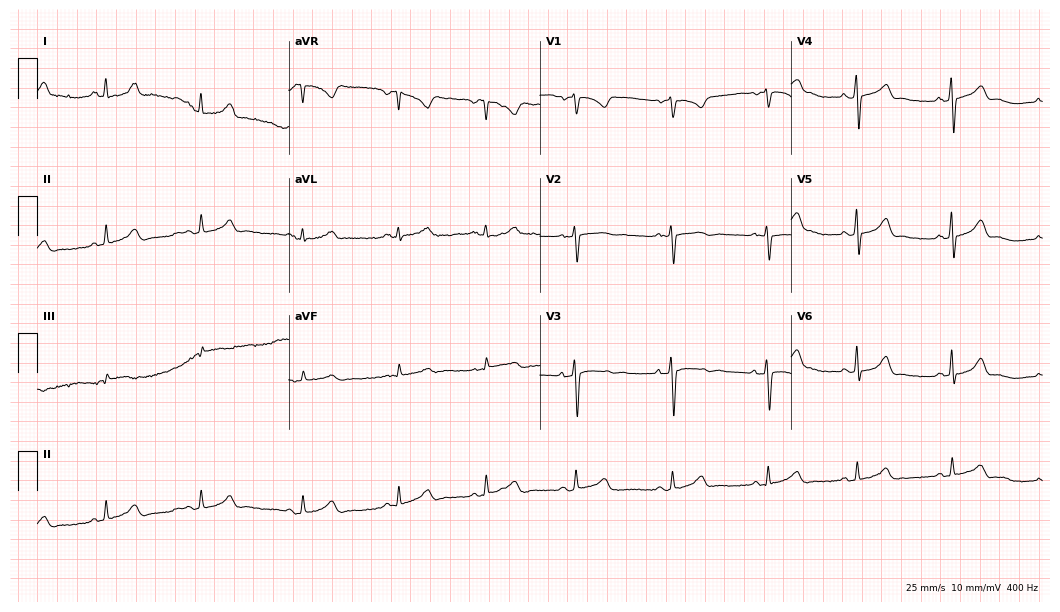
Electrocardiogram, a 29-year-old female. Overall reading on record: normal ECG.